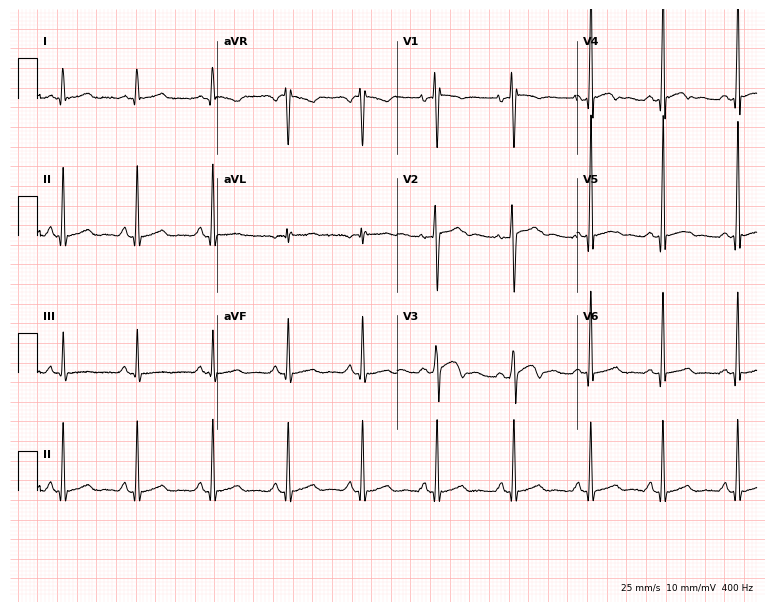
Standard 12-lead ECG recorded from a male, 17 years old (7.3-second recording at 400 Hz). Read as a normal ECG.